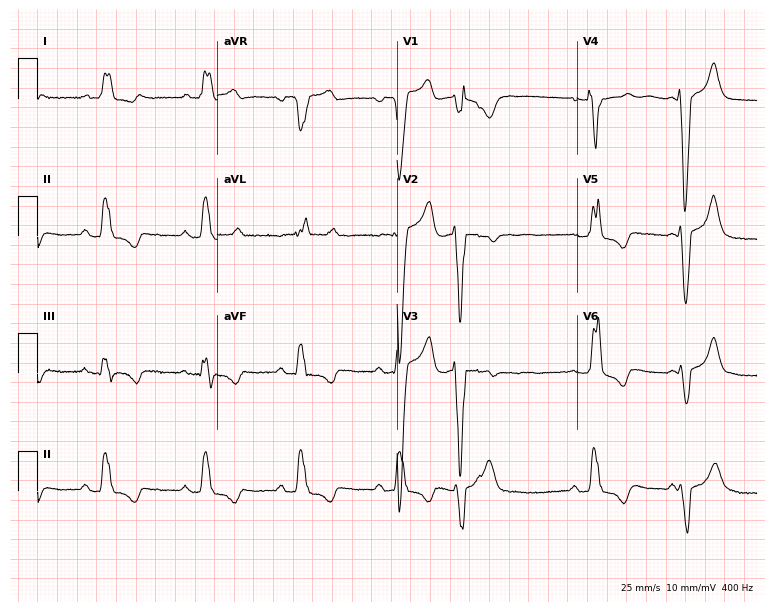
Standard 12-lead ECG recorded from a woman, 73 years old (7.3-second recording at 400 Hz). The tracing shows left bundle branch block.